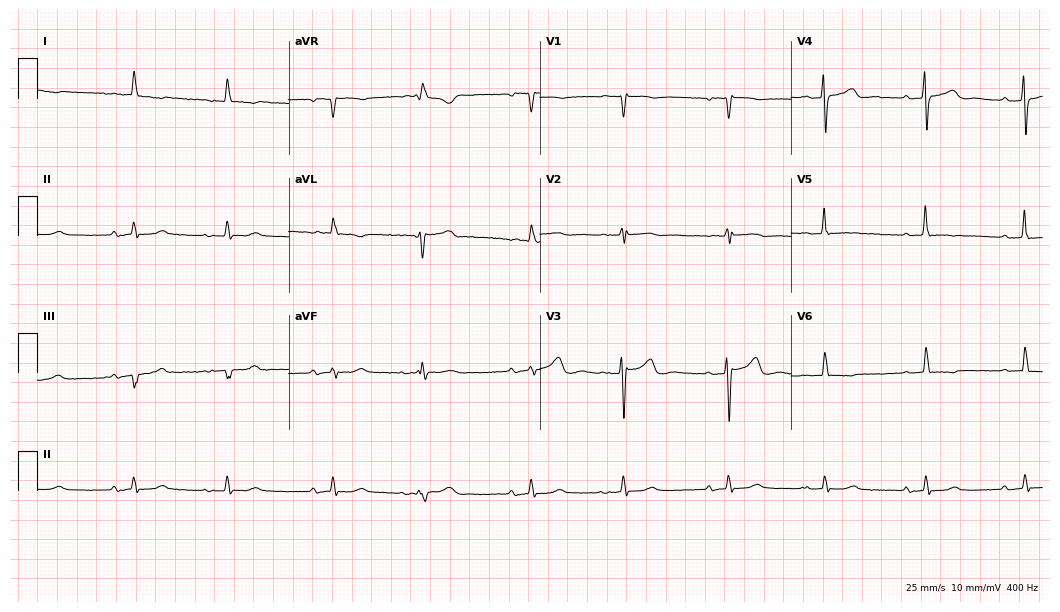
12-lead ECG from a 78-year-old woman. Screened for six findings — first-degree AV block, right bundle branch block, left bundle branch block, sinus bradycardia, atrial fibrillation, sinus tachycardia — none is recorded. Findings outside these six are not listed.